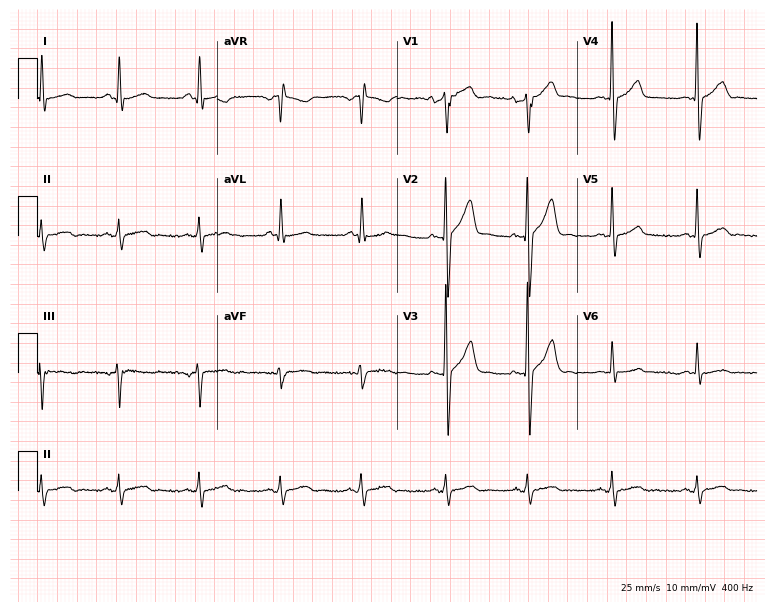
Resting 12-lead electrocardiogram. Patient: a 43-year-old male. None of these six findings is recorded: first-degree AV block, right bundle branch block, left bundle branch block, sinus bradycardia, atrial fibrillation, sinus tachycardia.